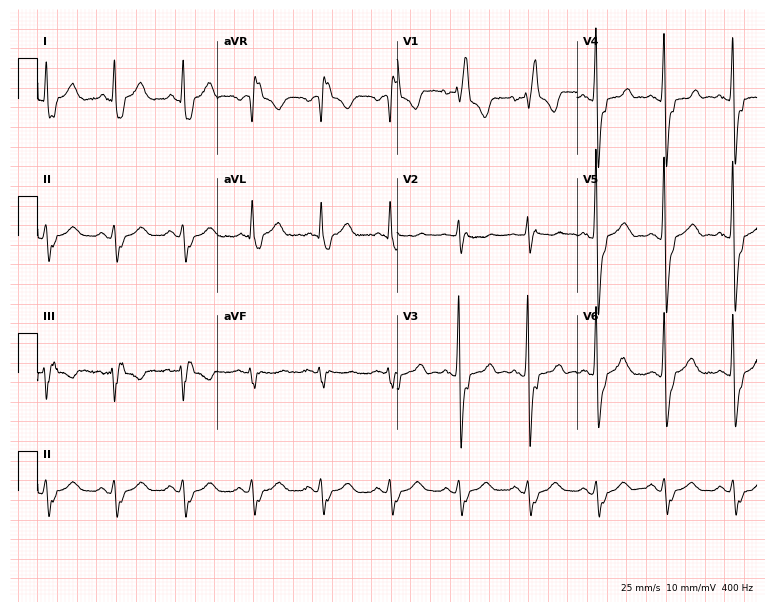
Resting 12-lead electrocardiogram. Patient: a man, 58 years old. The tracing shows right bundle branch block.